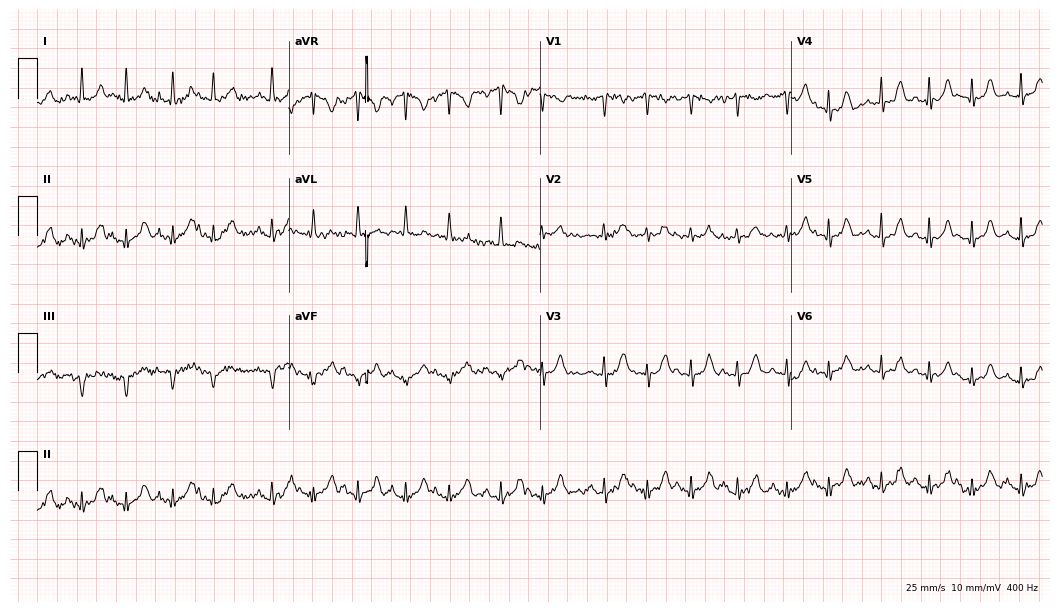
12-lead ECG (10.2-second recording at 400 Hz) from an 82-year-old female patient. Findings include sinus tachycardia (a sinus rate of 100 beats per minute or more).